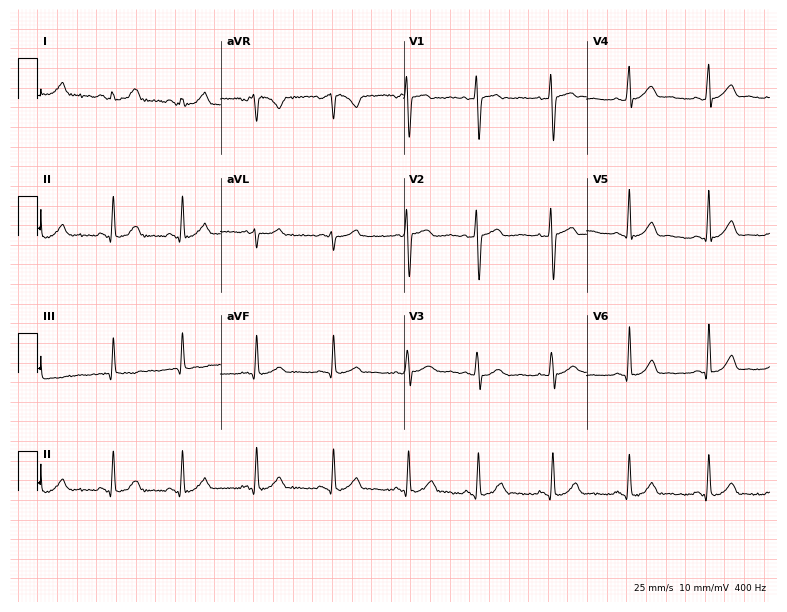
Resting 12-lead electrocardiogram. Patient: a female, 19 years old. None of these six findings is recorded: first-degree AV block, right bundle branch block (RBBB), left bundle branch block (LBBB), sinus bradycardia, atrial fibrillation (AF), sinus tachycardia.